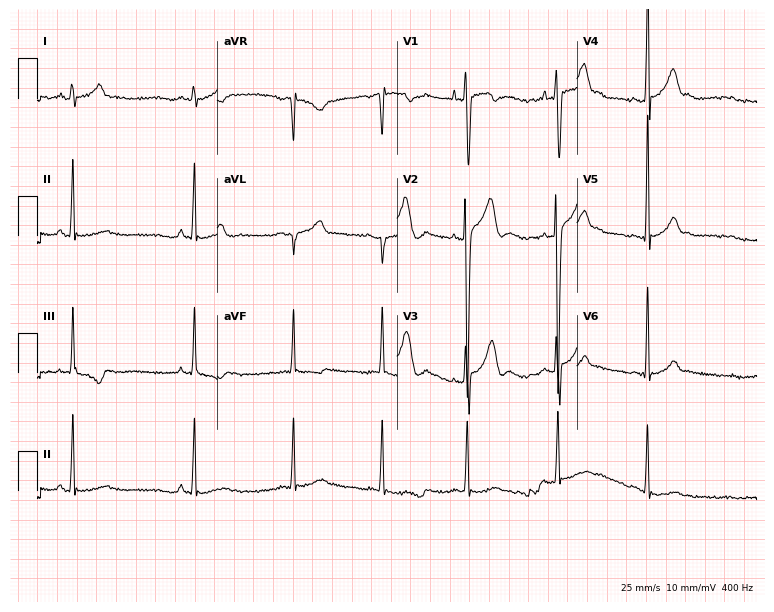
12-lead ECG from a 17-year-old male patient (7.3-second recording at 400 Hz). No first-degree AV block, right bundle branch block (RBBB), left bundle branch block (LBBB), sinus bradycardia, atrial fibrillation (AF) or sinus tachycardia recorded for this tracing.